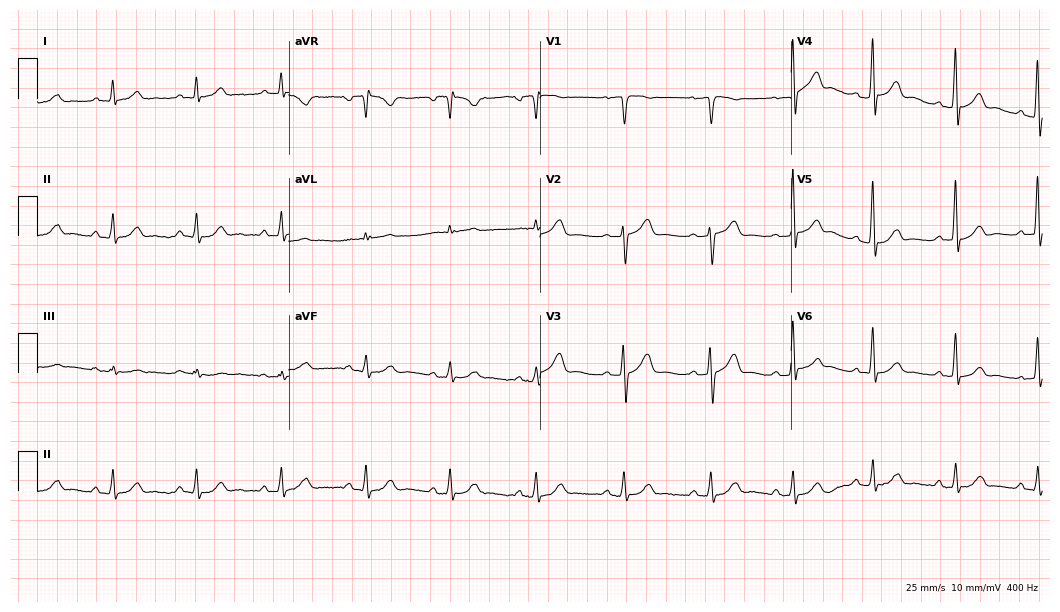
ECG — a 56-year-old male. Screened for six findings — first-degree AV block, right bundle branch block, left bundle branch block, sinus bradycardia, atrial fibrillation, sinus tachycardia — none is recorded. Only these six findings were labelled.